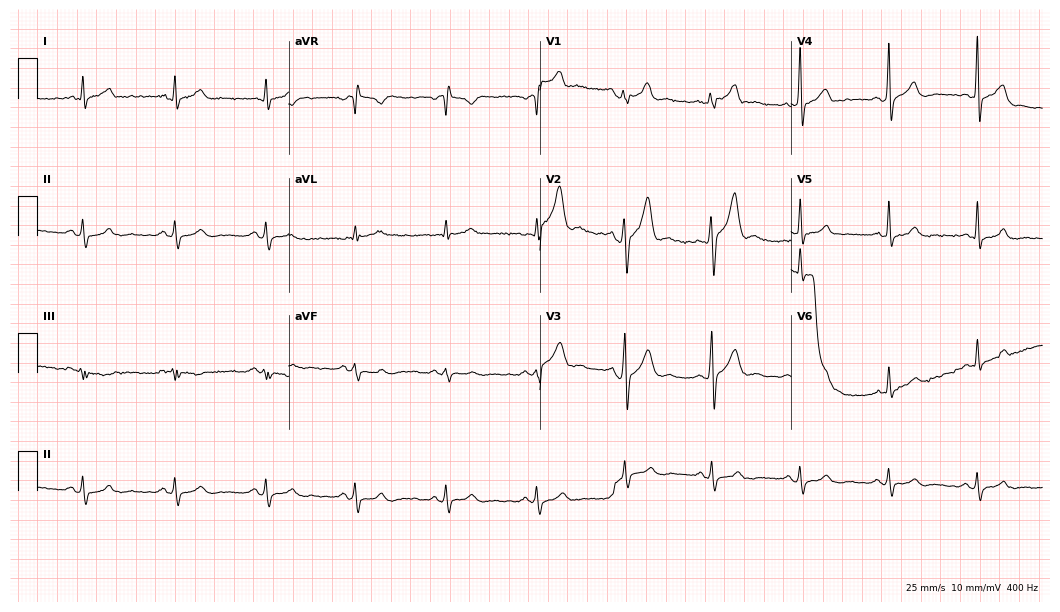
12-lead ECG from a 27-year-old male (10.2-second recording at 400 Hz). No first-degree AV block, right bundle branch block, left bundle branch block, sinus bradycardia, atrial fibrillation or sinus tachycardia recorded for this tracing. Findings outside these six are not listed.